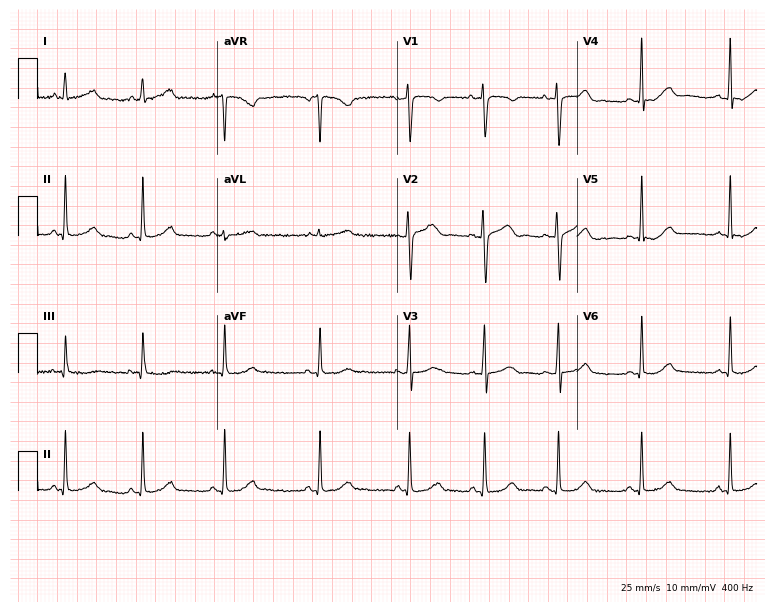
Standard 12-lead ECG recorded from a female patient, 26 years old. Read as a normal ECG.